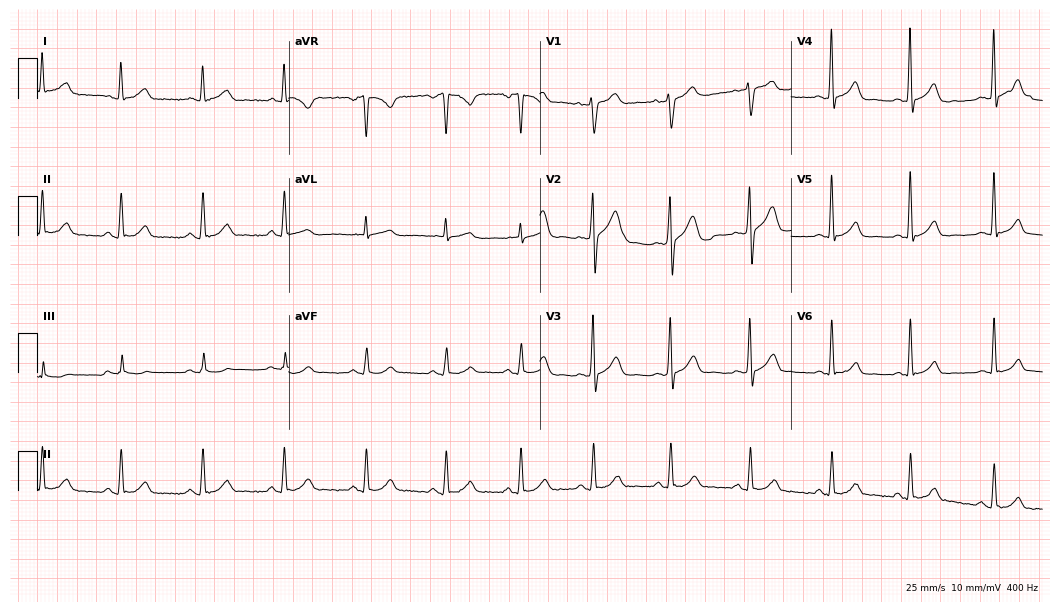
ECG — a 31-year-old male patient. Labelled as a normal ECG.